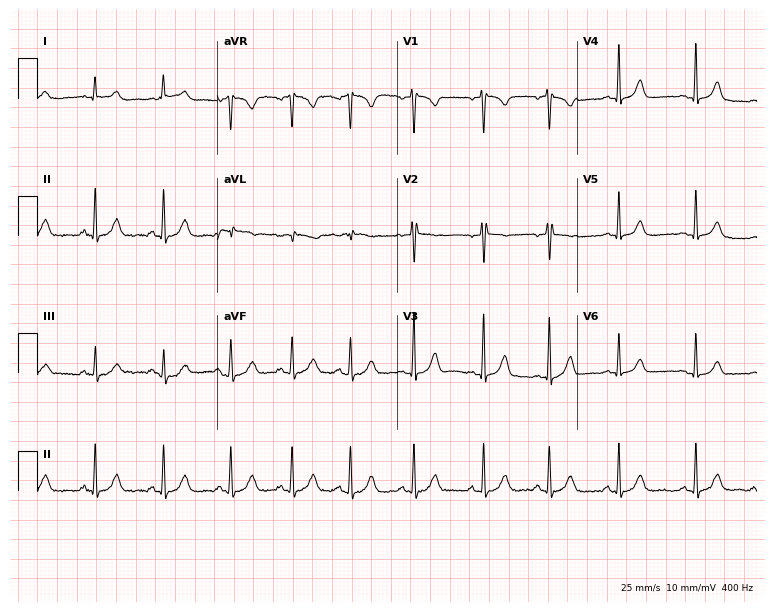
Electrocardiogram, a female, 25 years old. Overall reading on record: normal ECG.